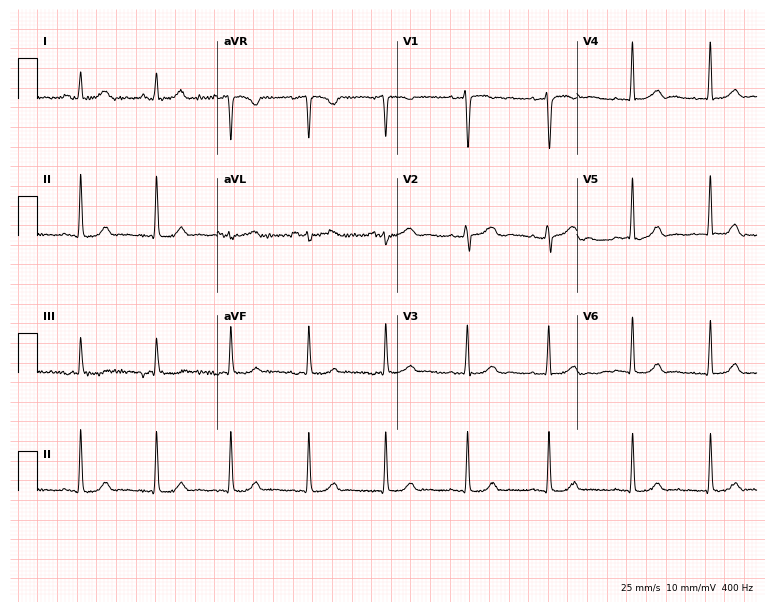
Resting 12-lead electrocardiogram. Patient: a 47-year-old woman. Read as a normal ECG.